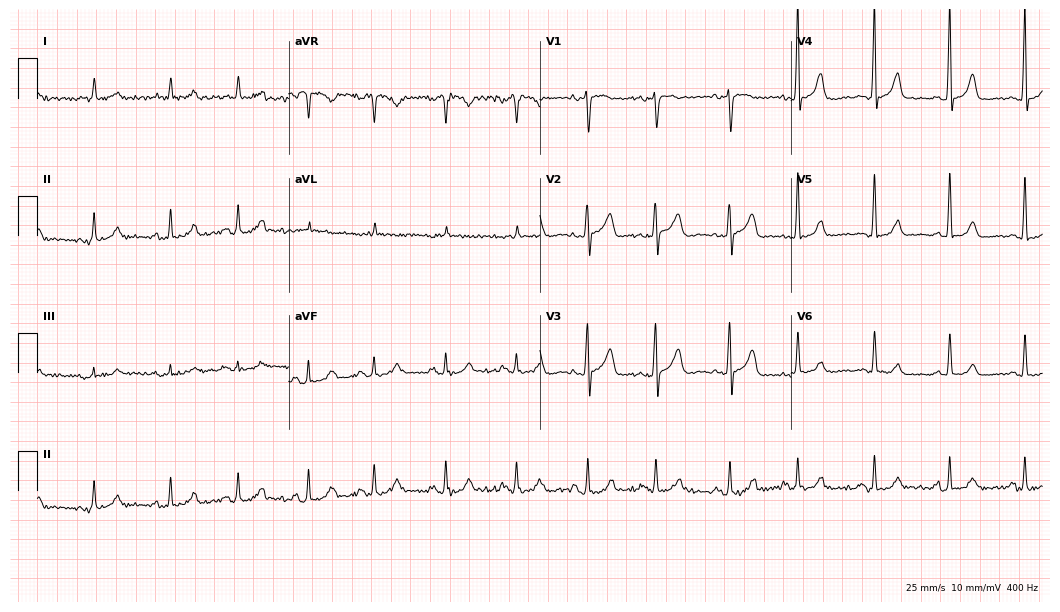
Electrocardiogram, an 81-year-old male. Overall reading on record: normal ECG.